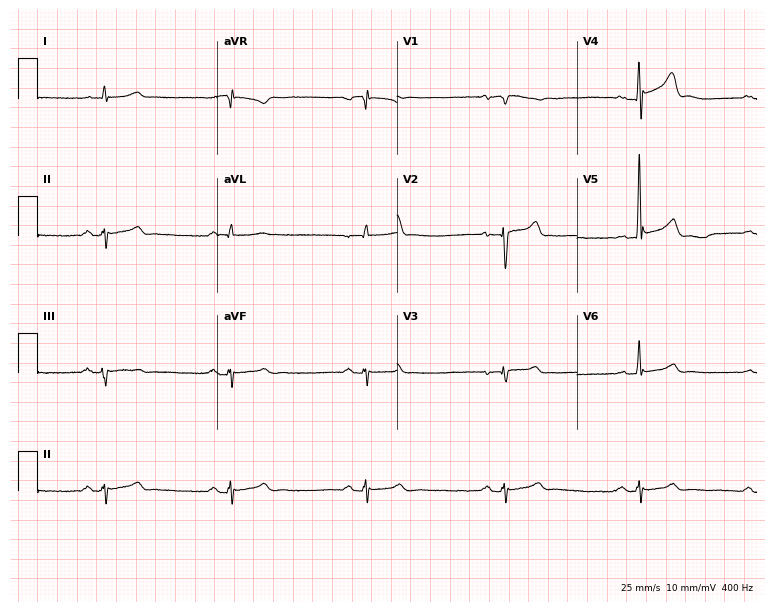
12-lead ECG from a man, 48 years old. Findings include sinus bradycardia (a sinus rate of 50 beats per minute or less).